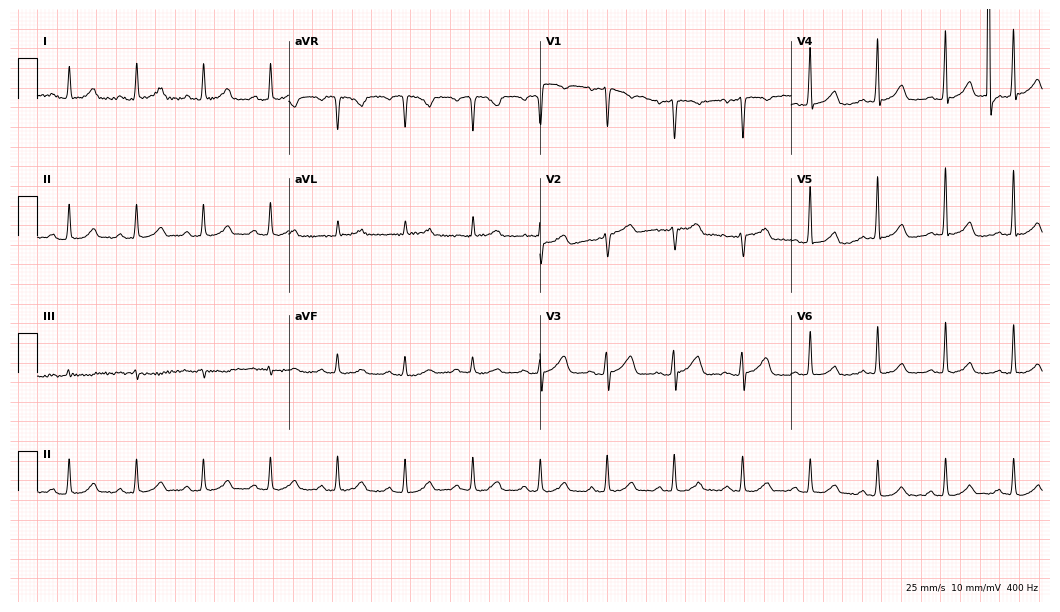
Standard 12-lead ECG recorded from a female, 57 years old (10.2-second recording at 400 Hz). Read as a normal ECG.